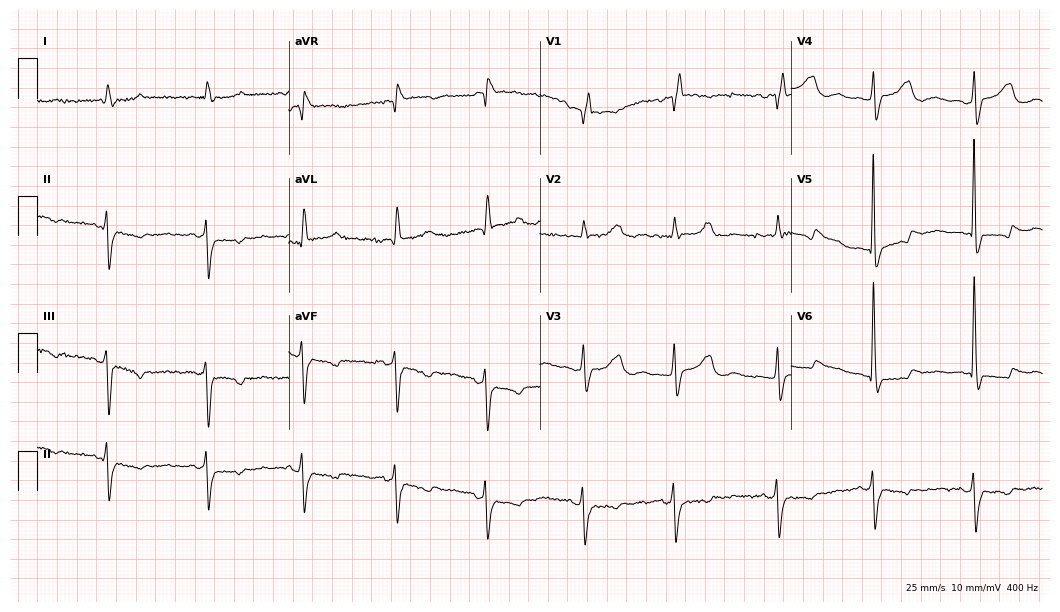
ECG (10.2-second recording at 400 Hz) — a woman, 84 years old. Screened for six findings — first-degree AV block, right bundle branch block, left bundle branch block, sinus bradycardia, atrial fibrillation, sinus tachycardia — none is recorded.